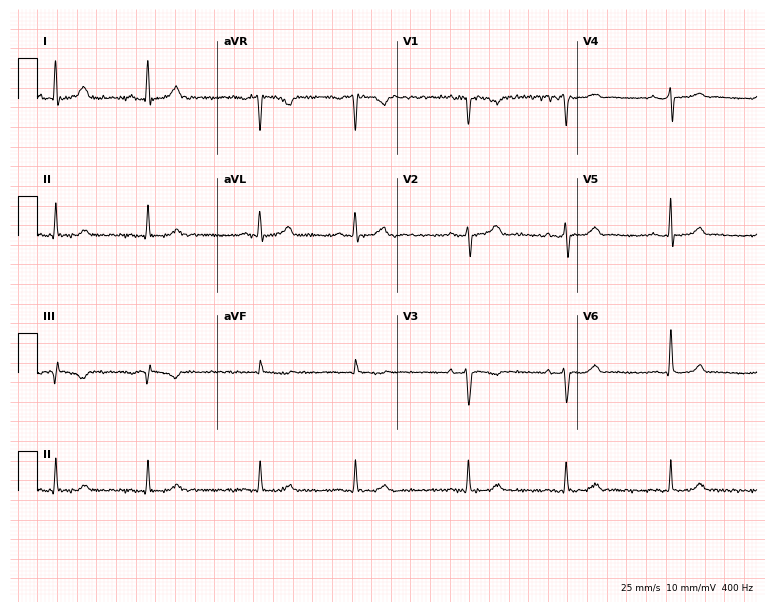
12-lead ECG from a female, 22 years old. Screened for six findings — first-degree AV block, right bundle branch block, left bundle branch block, sinus bradycardia, atrial fibrillation, sinus tachycardia — none is recorded. Only these six findings were labelled.